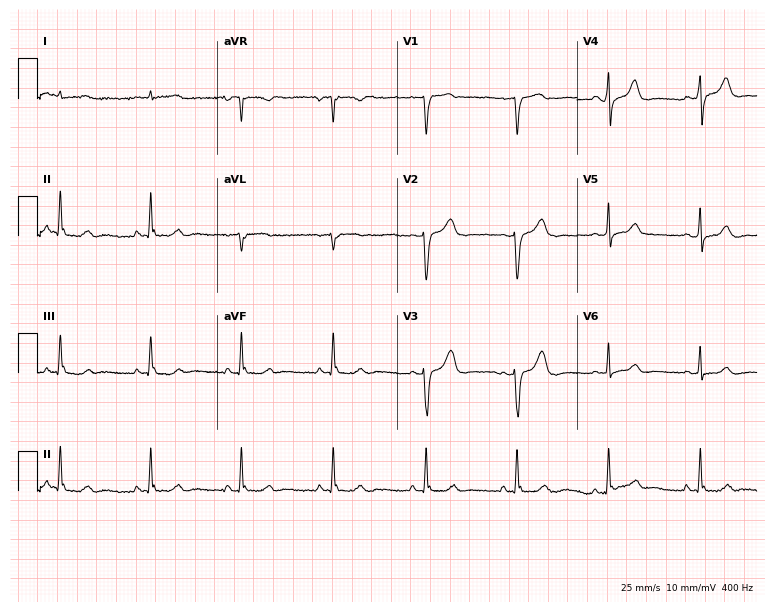
Electrocardiogram, a 49-year-old woman. Of the six screened findings (first-degree AV block, right bundle branch block (RBBB), left bundle branch block (LBBB), sinus bradycardia, atrial fibrillation (AF), sinus tachycardia), none is recorded. Findings outside these six are not listed.